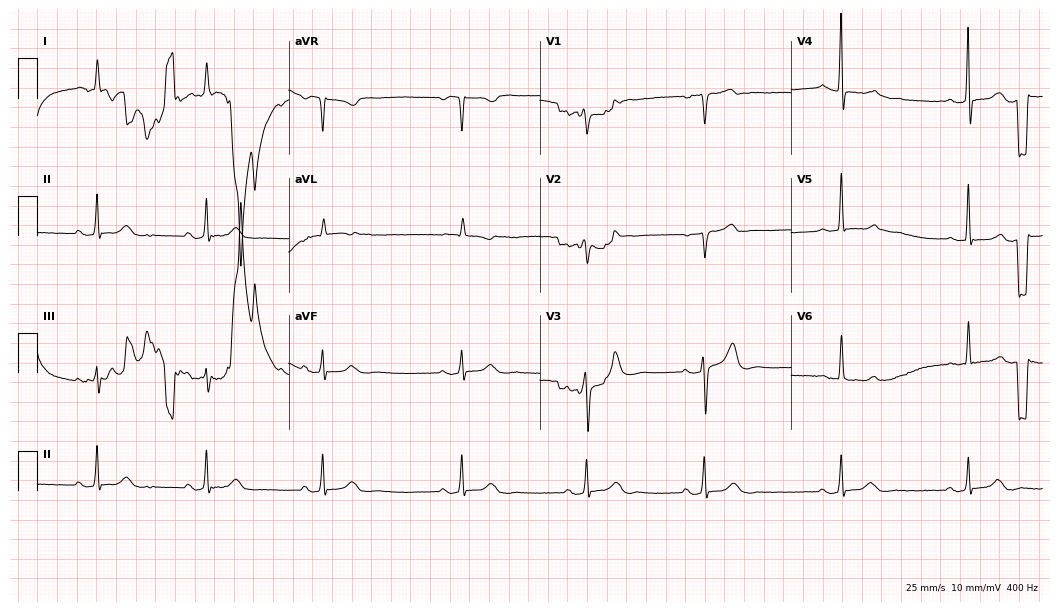
12-lead ECG from an 80-year-old female (10.2-second recording at 400 Hz). Shows sinus bradycardia (a sinus rate of 50 beats per minute or less), atrial fibrillation.